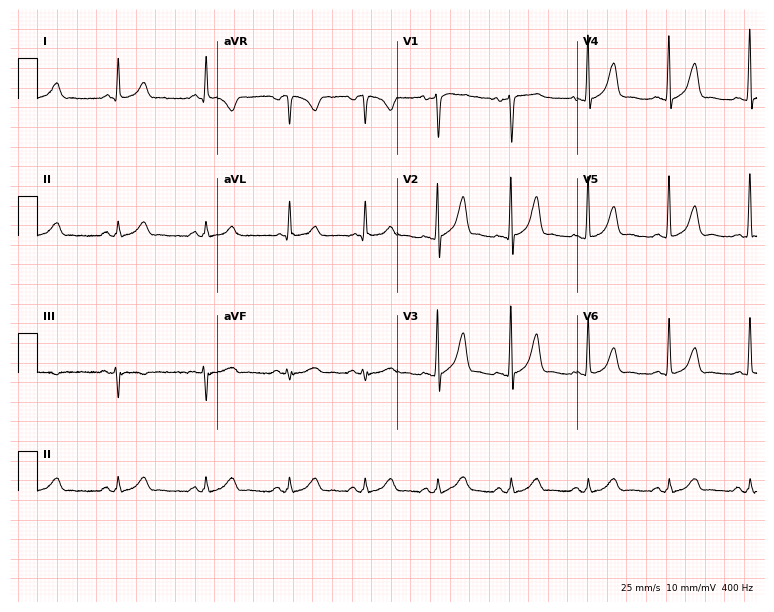
Electrocardiogram, a 33-year-old male patient. Overall reading on record: normal ECG.